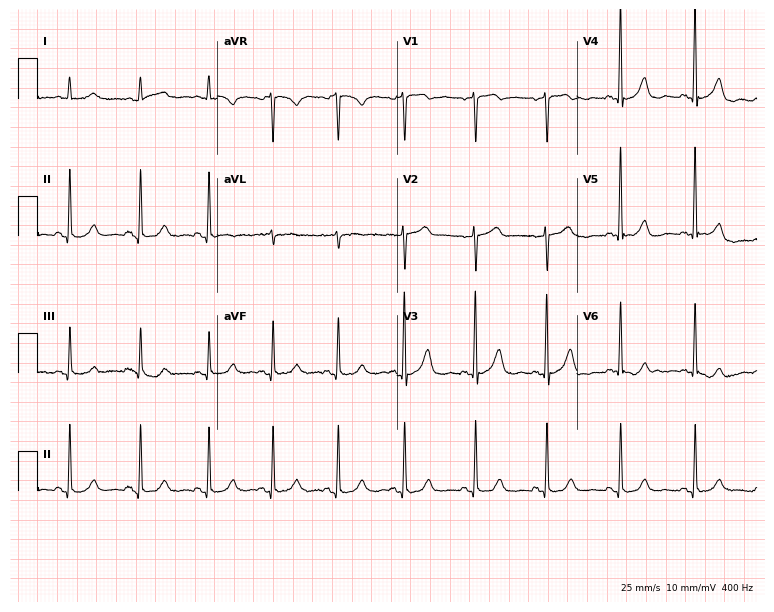
Resting 12-lead electrocardiogram (7.3-second recording at 400 Hz). Patient: a woman, 62 years old. Read as a normal ECG.